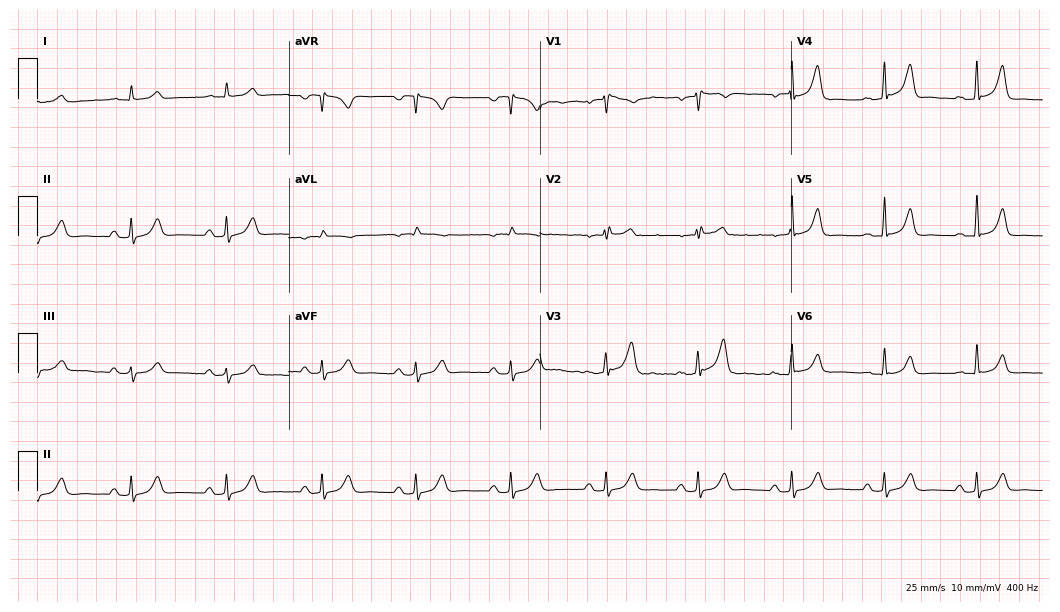
Electrocardiogram (10.2-second recording at 400 Hz), a 71-year-old man. Overall reading on record: normal ECG.